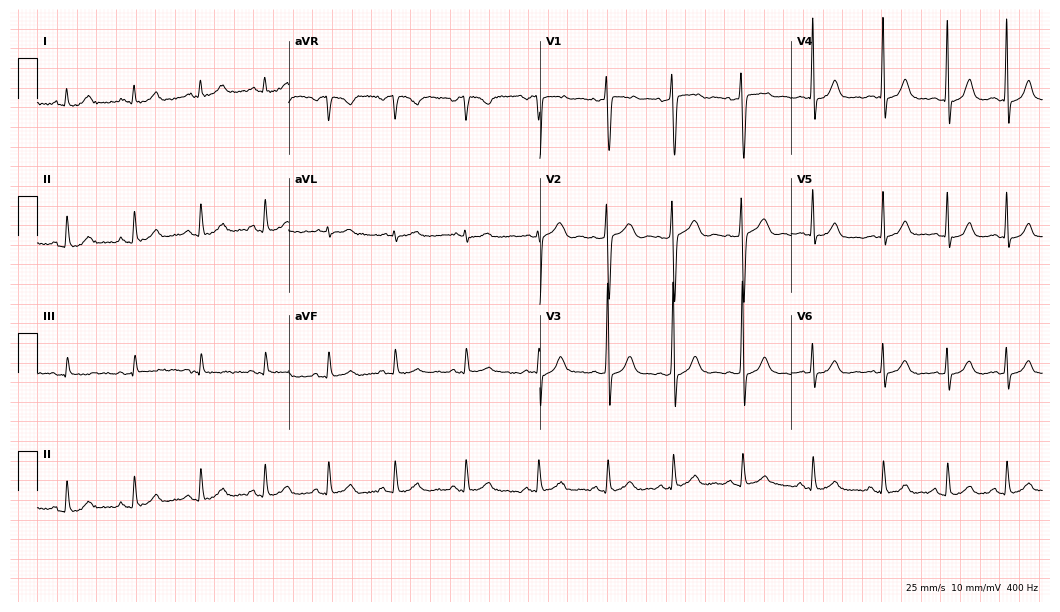
Standard 12-lead ECG recorded from an 18-year-old female patient (10.2-second recording at 400 Hz). Read as a normal ECG.